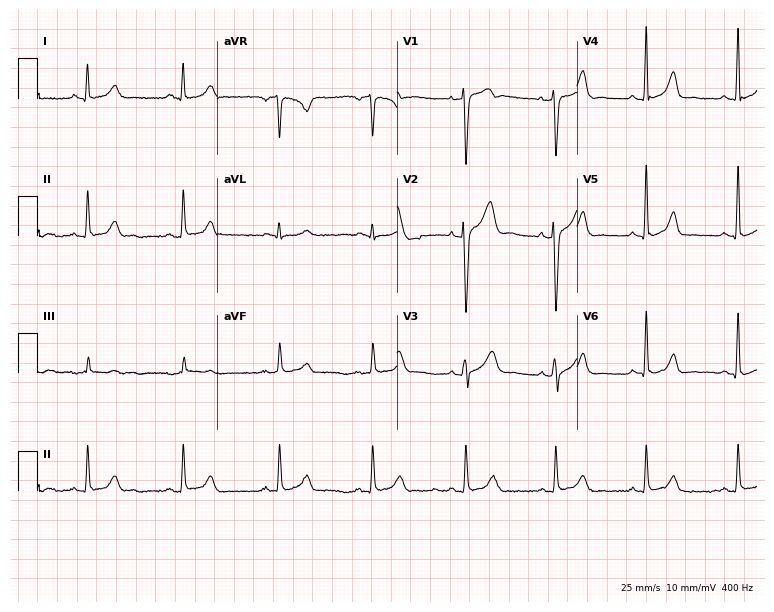
12-lead ECG from a 36-year-old male. Labelled as a normal ECG.